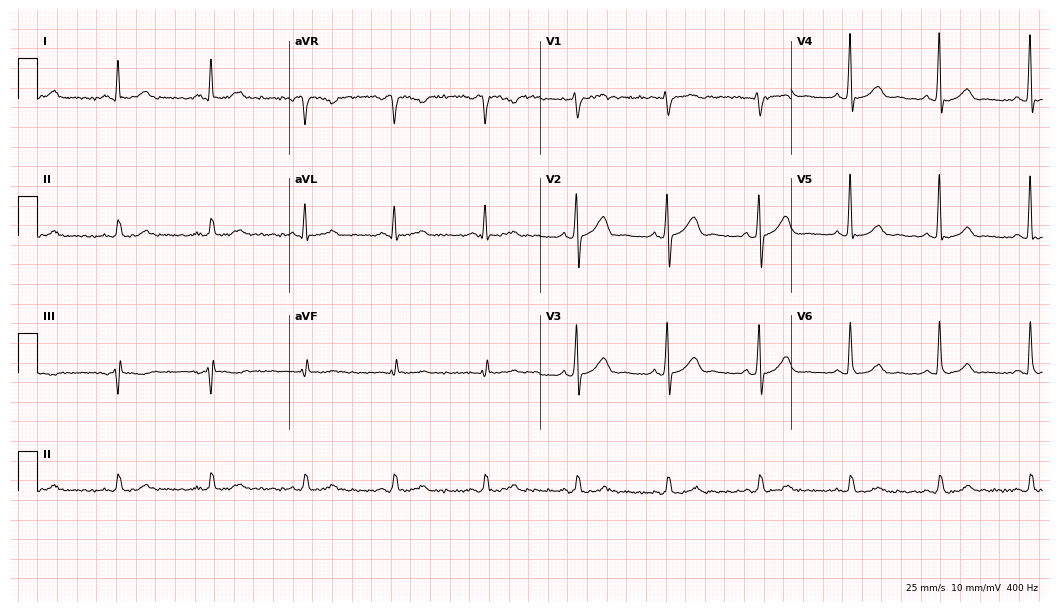
Electrocardiogram, a 57-year-old man. Overall reading on record: normal ECG.